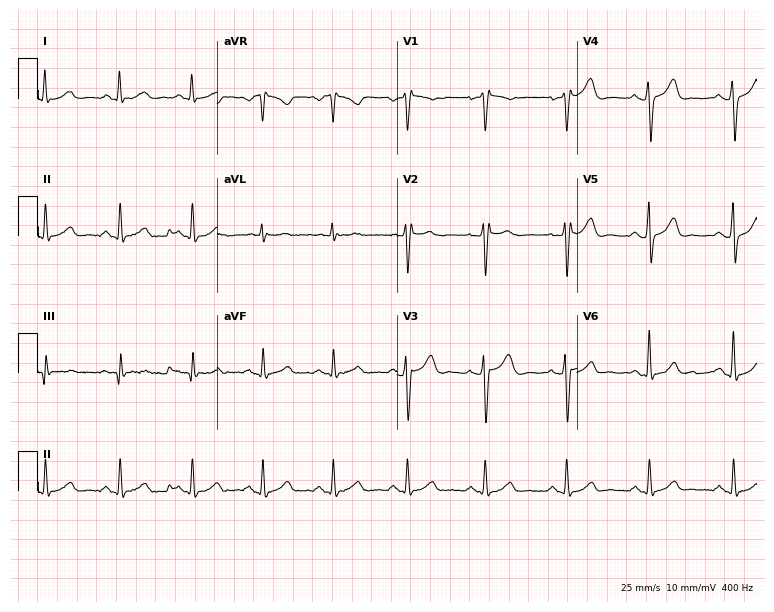
Standard 12-lead ECG recorded from a man, 52 years old (7.3-second recording at 400 Hz). Read as a normal ECG.